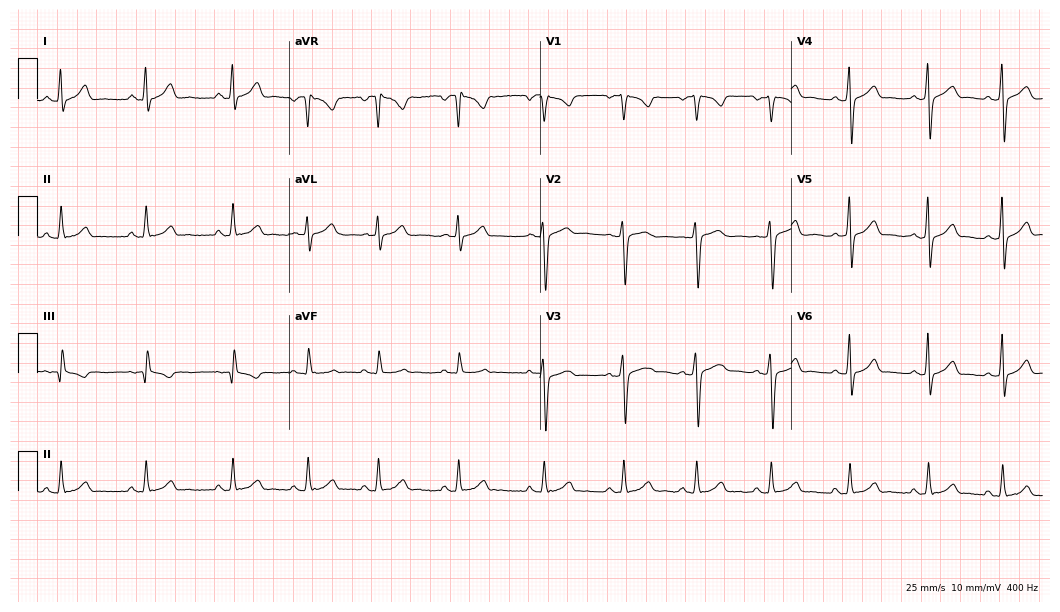
Standard 12-lead ECG recorded from a 22-year-old woman. Read as a normal ECG.